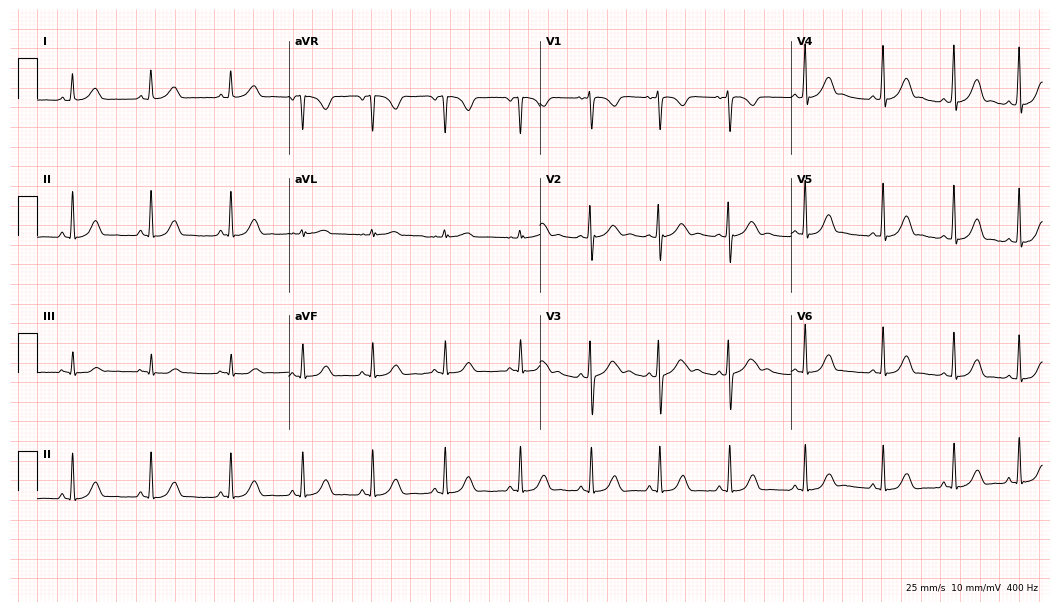
Electrocardiogram, a 17-year-old woman. Overall reading on record: normal ECG.